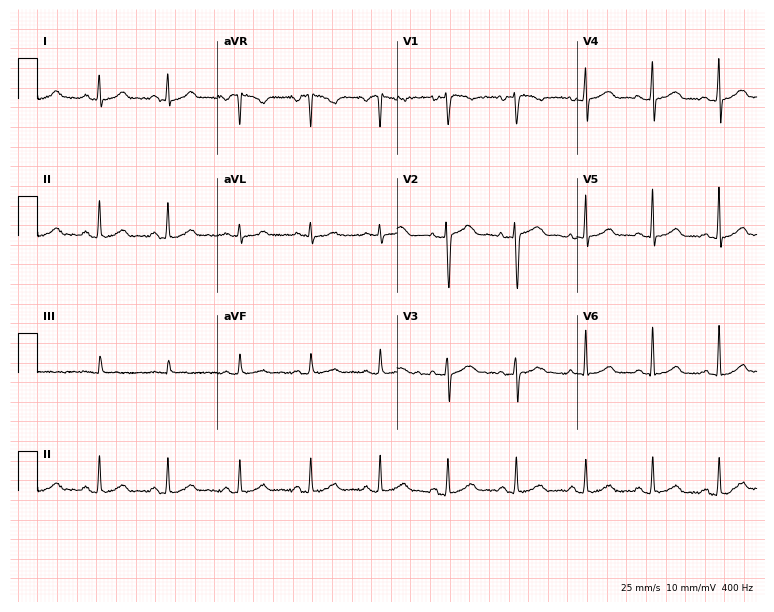
Resting 12-lead electrocardiogram. Patient: a 41-year-old female. Read as a normal ECG.